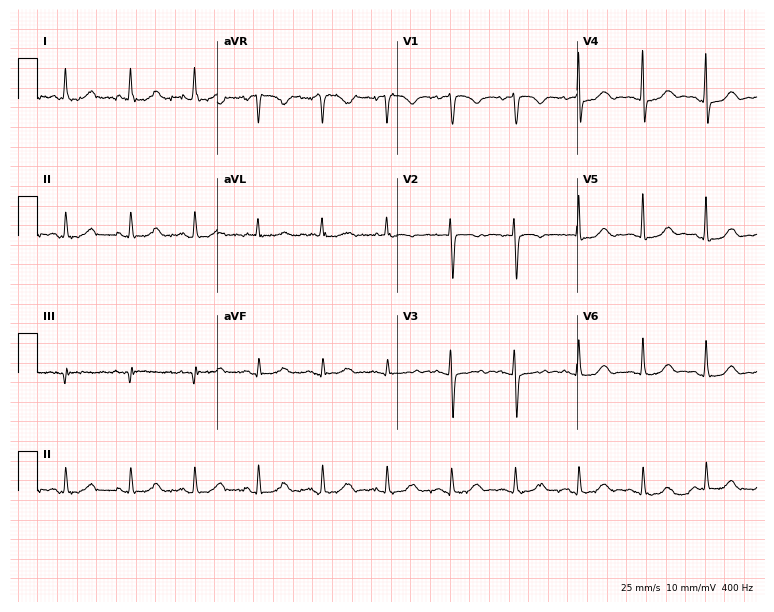
Resting 12-lead electrocardiogram (7.3-second recording at 400 Hz). Patient: an 84-year-old female. None of these six findings is recorded: first-degree AV block, right bundle branch block (RBBB), left bundle branch block (LBBB), sinus bradycardia, atrial fibrillation (AF), sinus tachycardia. Only these six findings were labelled.